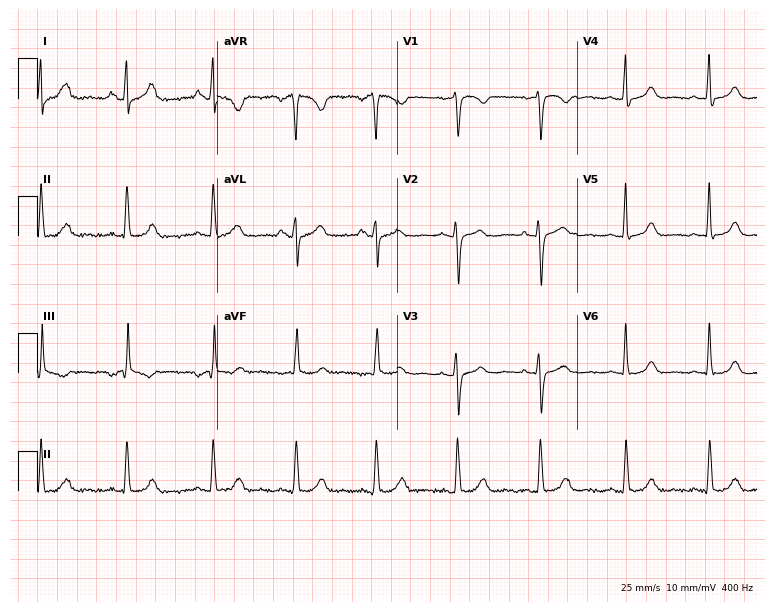
12-lead ECG from a female, 60 years old. Recorded interpretation: within normal limits.